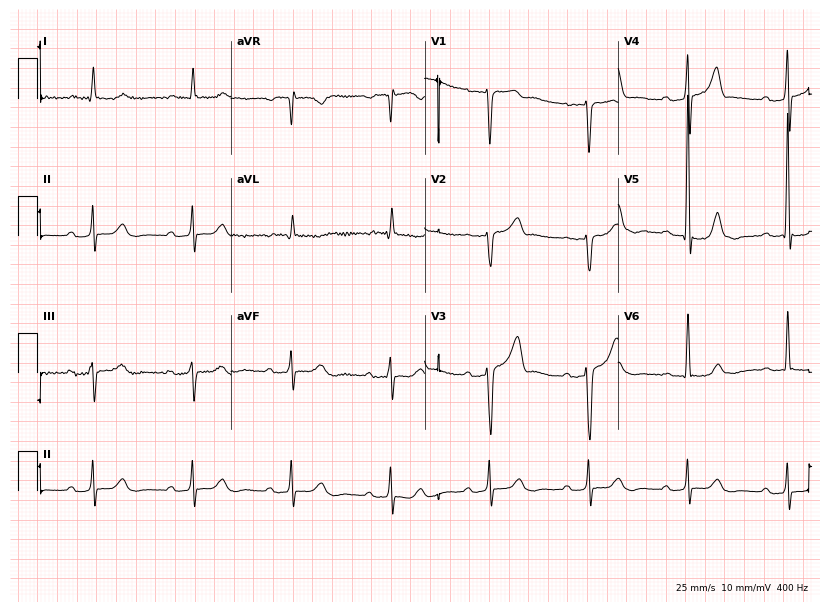
Electrocardiogram, an 82-year-old male patient. Interpretation includes first-degree AV block.